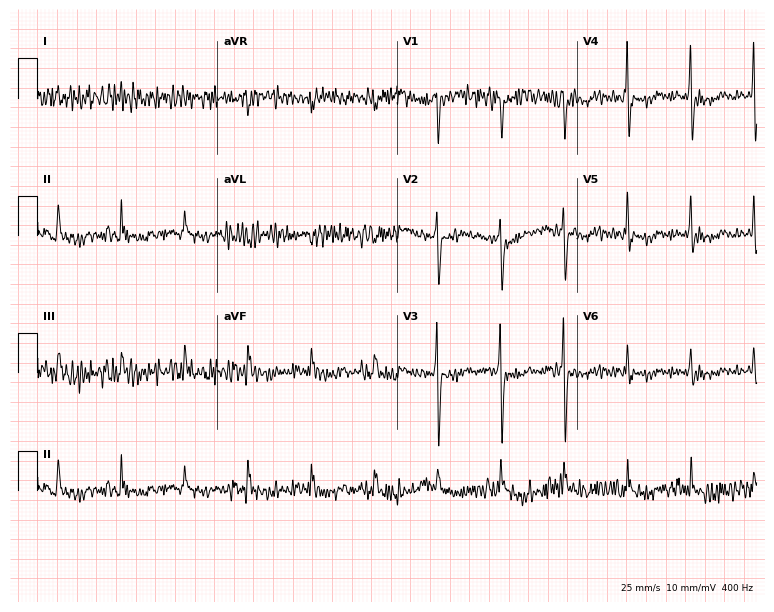
Standard 12-lead ECG recorded from a male patient, 67 years old (7.3-second recording at 400 Hz). None of these six findings is recorded: first-degree AV block, right bundle branch block (RBBB), left bundle branch block (LBBB), sinus bradycardia, atrial fibrillation (AF), sinus tachycardia.